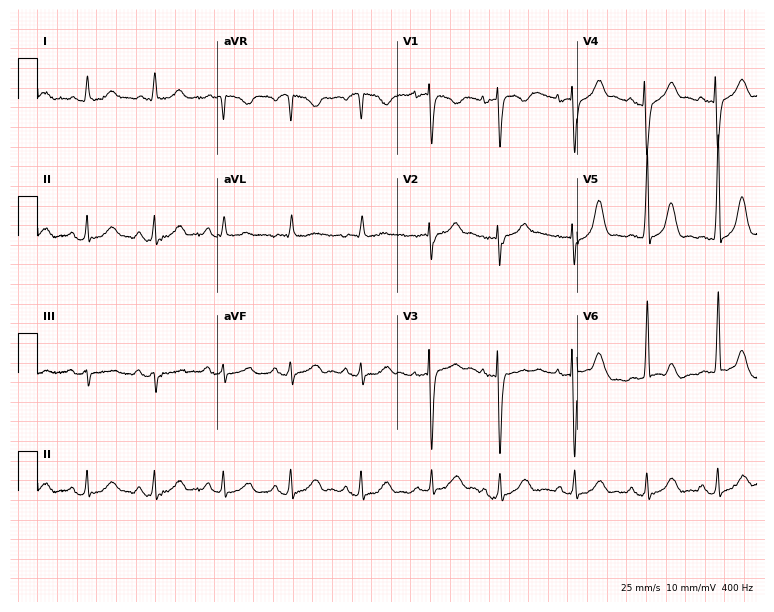
12-lead ECG from an 84-year-old female patient (7.3-second recording at 400 Hz). No first-degree AV block, right bundle branch block, left bundle branch block, sinus bradycardia, atrial fibrillation or sinus tachycardia recorded for this tracing. Other findings, if any, are not listed.